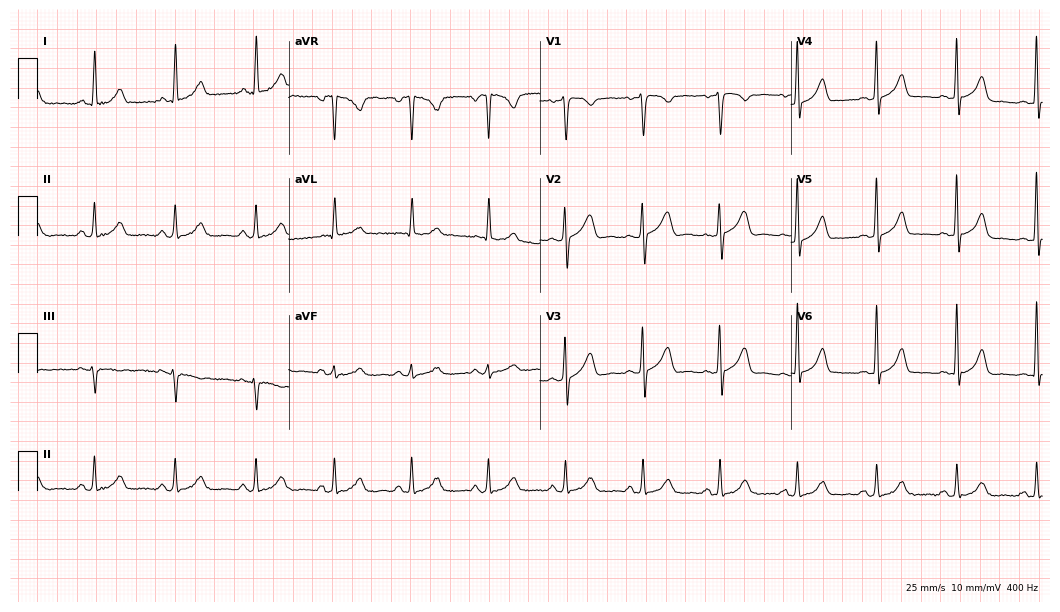
Electrocardiogram (10.2-second recording at 400 Hz), a 58-year-old woman. Overall reading on record: normal ECG.